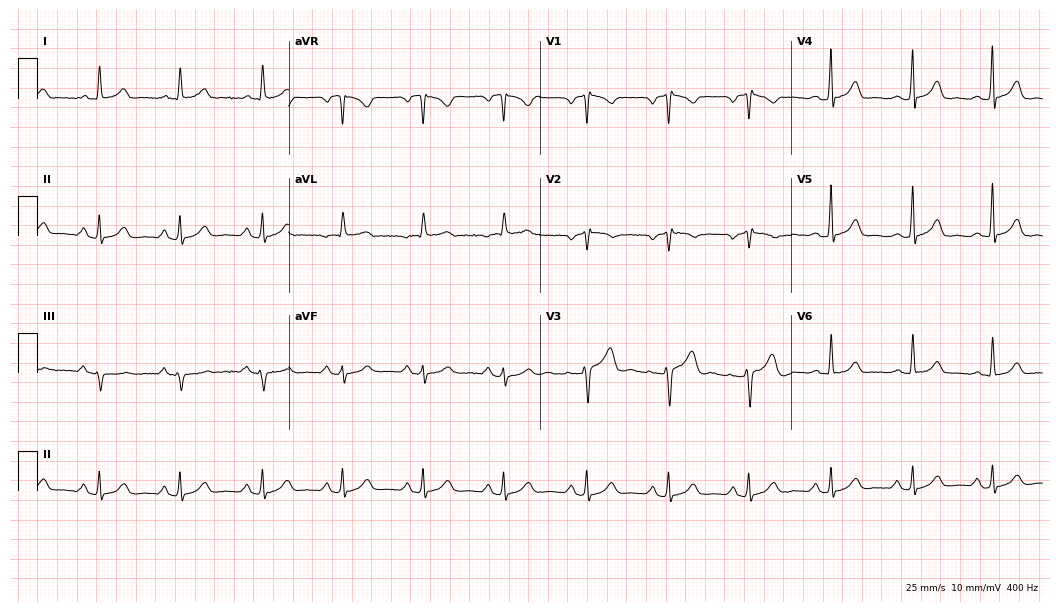
12-lead ECG from a female, 40 years old (10.2-second recording at 400 Hz). No first-degree AV block, right bundle branch block, left bundle branch block, sinus bradycardia, atrial fibrillation or sinus tachycardia recorded for this tracing. Findings outside these six are not listed.